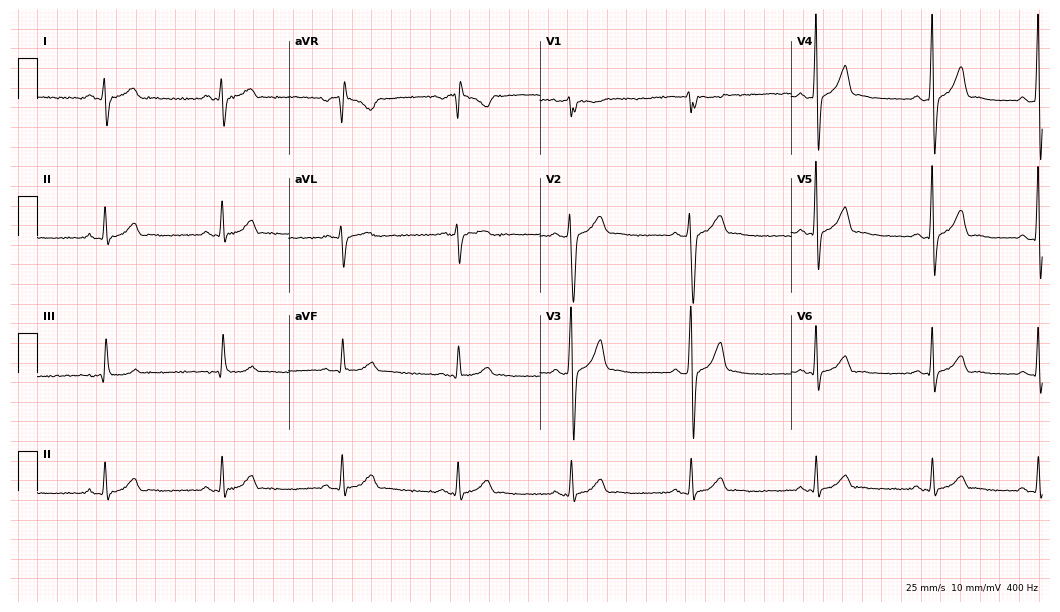
Electrocardiogram (10.2-second recording at 400 Hz), a man, 35 years old. Interpretation includes sinus bradycardia (a sinus rate of 50 beats per minute or less).